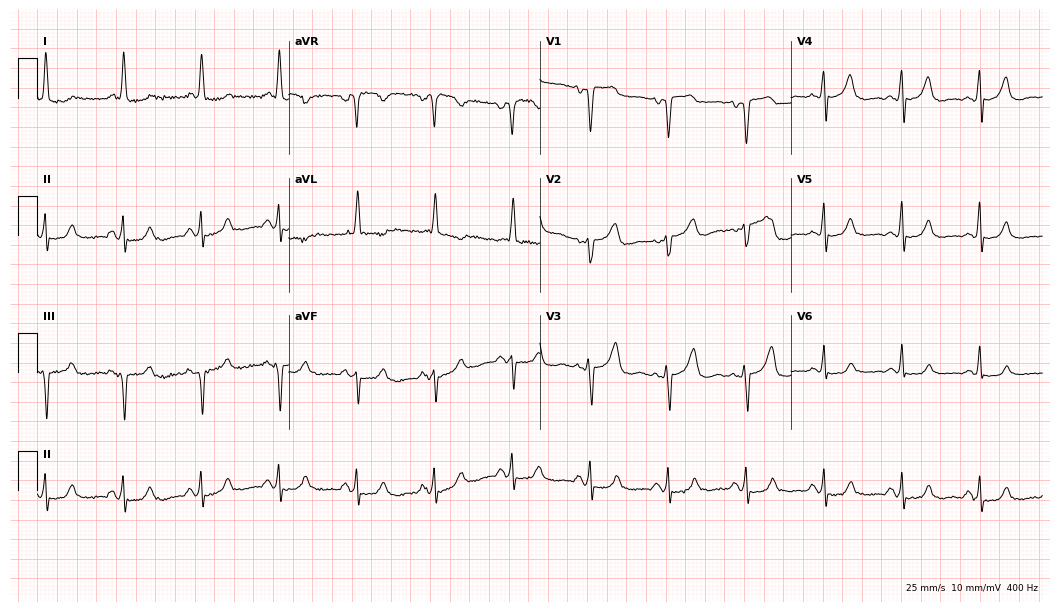
ECG — a woman, 58 years old. Screened for six findings — first-degree AV block, right bundle branch block, left bundle branch block, sinus bradycardia, atrial fibrillation, sinus tachycardia — none is recorded. Findings outside these six are not listed.